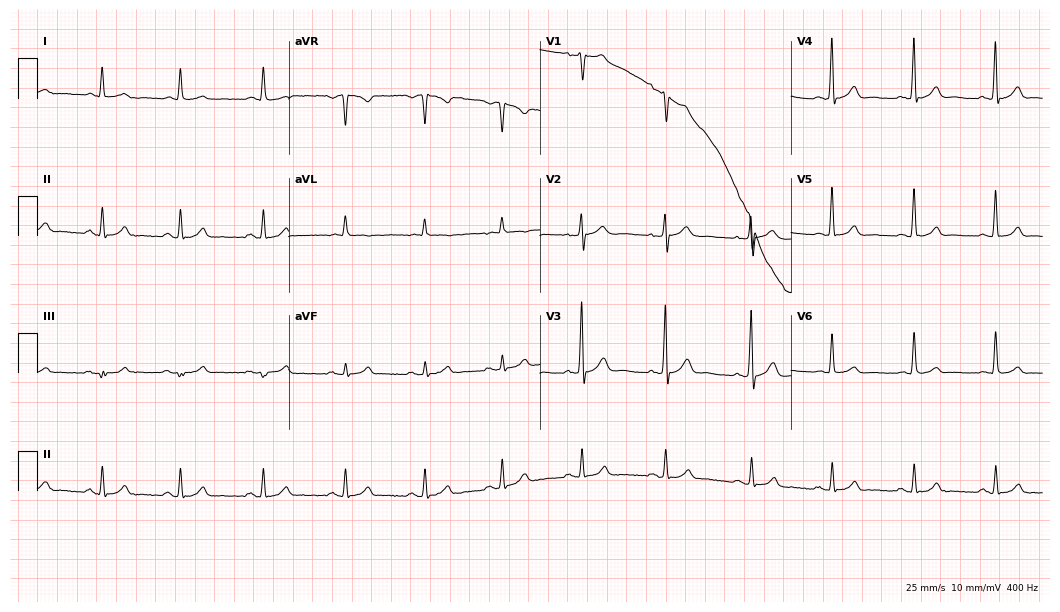
Standard 12-lead ECG recorded from a 41-year-old male (10.2-second recording at 400 Hz). Read as a normal ECG.